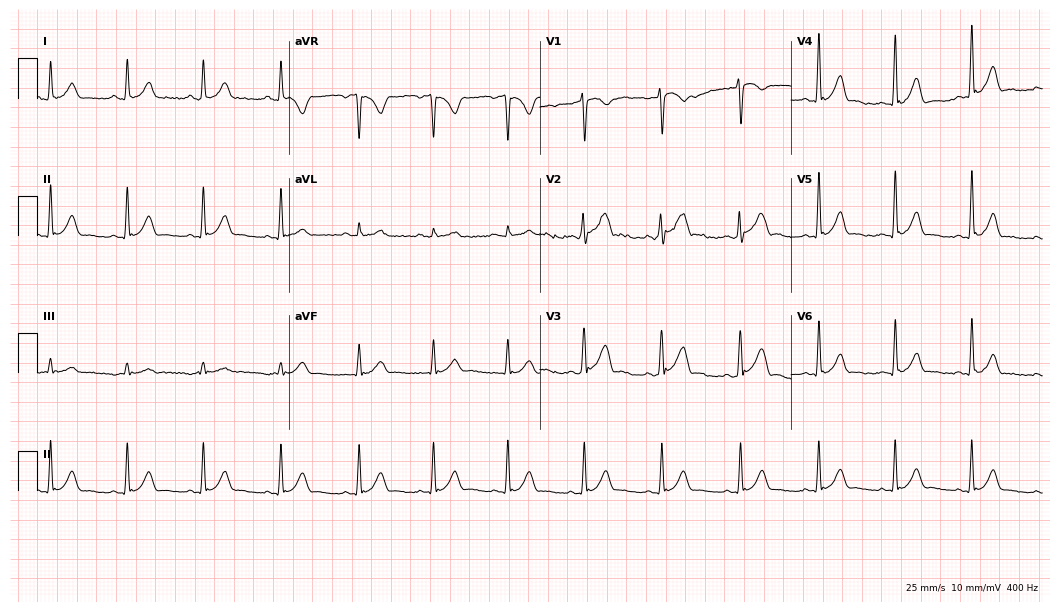
Standard 12-lead ECG recorded from a 32-year-old male (10.2-second recording at 400 Hz). Read as a normal ECG.